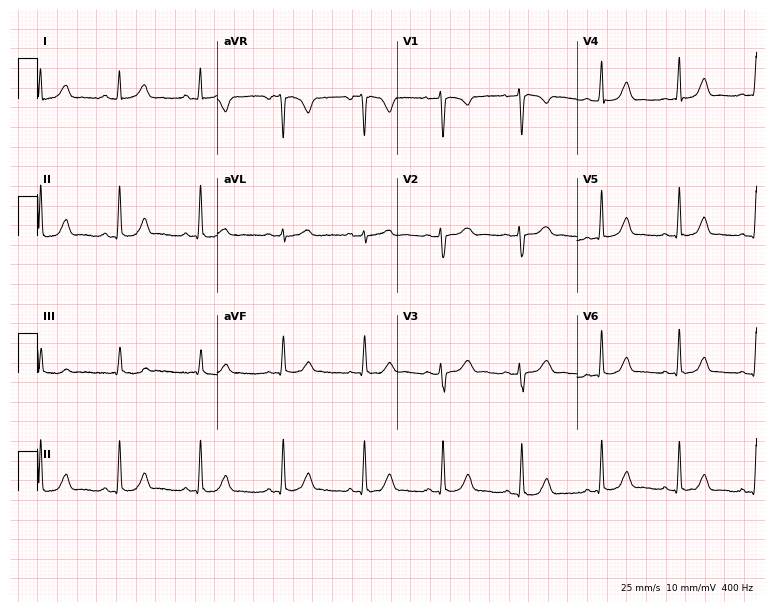
12-lead ECG from a 34-year-old woman. Labelled as a normal ECG.